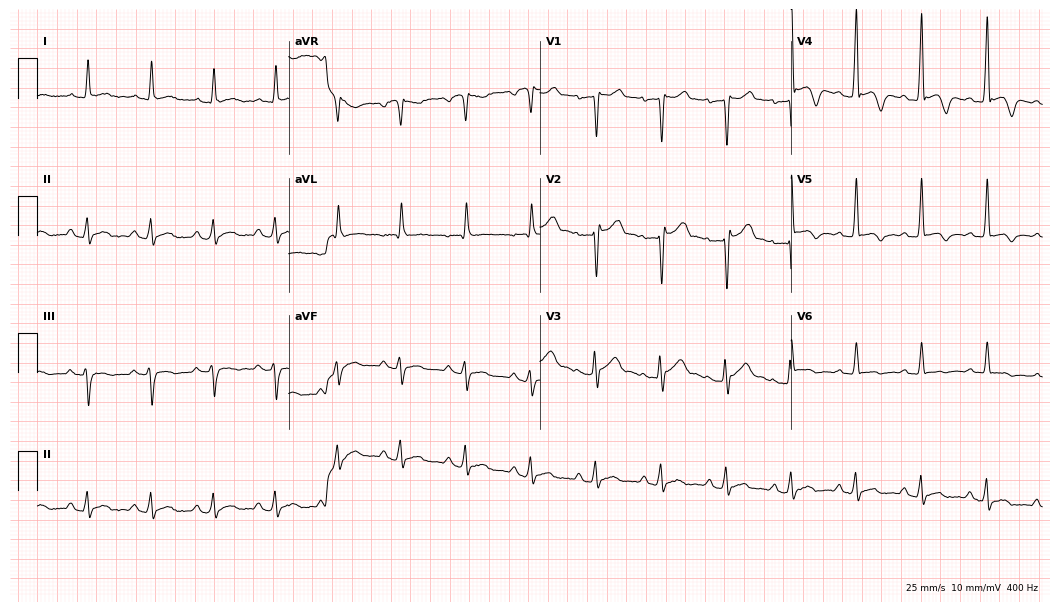
12-lead ECG from a 27-year-old male patient. Screened for six findings — first-degree AV block, right bundle branch block, left bundle branch block, sinus bradycardia, atrial fibrillation, sinus tachycardia — none is recorded. Findings outside these six are not listed.